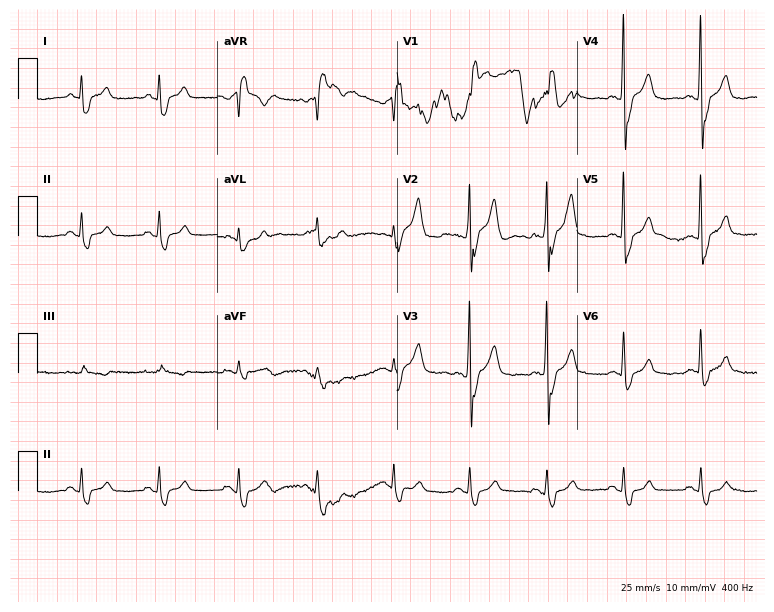
Standard 12-lead ECG recorded from a 49-year-old male (7.3-second recording at 400 Hz). The tracing shows right bundle branch block.